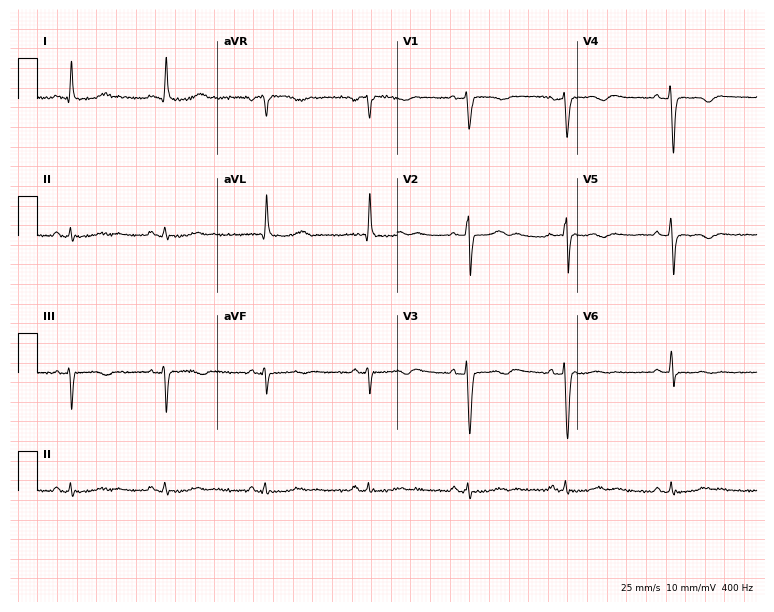
Standard 12-lead ECG recorded from a female patient, 54 years old. None of these six findings is recorded: first-degree AV block, right bundle branch block (RBBB), left bundle branch block (LBBB), sinus bradycardia, atrial fibrillation (AF), sinus tachycardia. Findings outside these six are not listed.